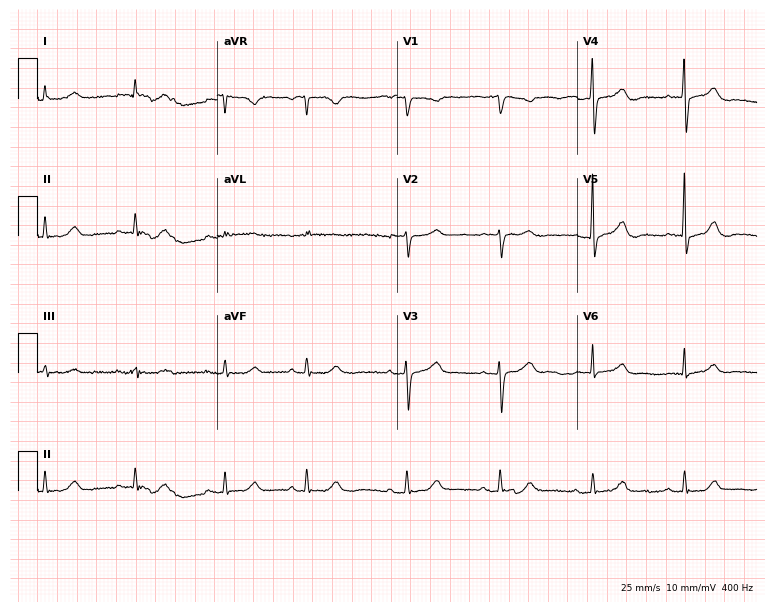
12-lead ECG from a 78-year-old male. Screened for six findings — first-degree AV block, right bundle branch block, left bundle branch block, sinus bradycardia, atrial fibrillation, sinus tachycardia — none is recorded. Only these six findings were labelled.